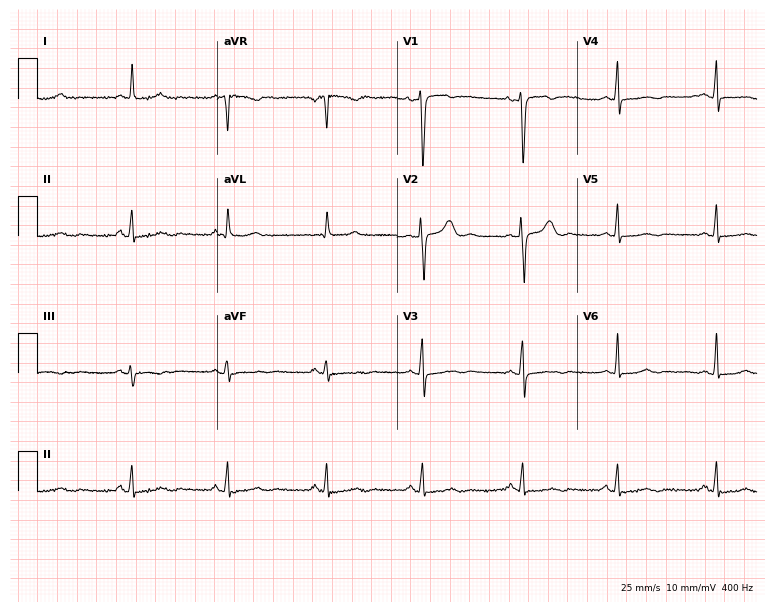
Standard 12-lead ECG recorded from a female patient, 50 years old (7.3-second recording at 400 Hz). None of these six findings is recorded: first-degree AV block, right bundle branch block (RBBB), left bundle branch block (LBBB), sinus bradycardia, atrial fibrillation (AF), sinus tachycardia. Other findings, if any, are not listed.